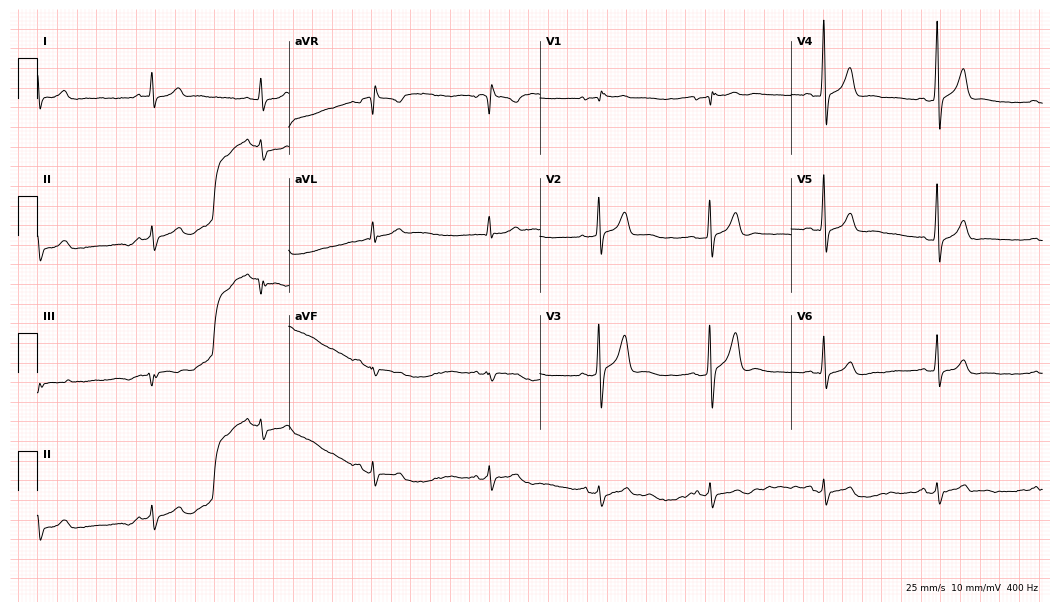
Resting 12-lead electrocardiogram. Patient: a 26-year-old male. None of these six findings is recorded: first-degree AV block, right bundle branch block, left bundle branch block, sinus bradycardia, atrial fibrillation, sinus tachycardia. Other findings, if any, are not listed.